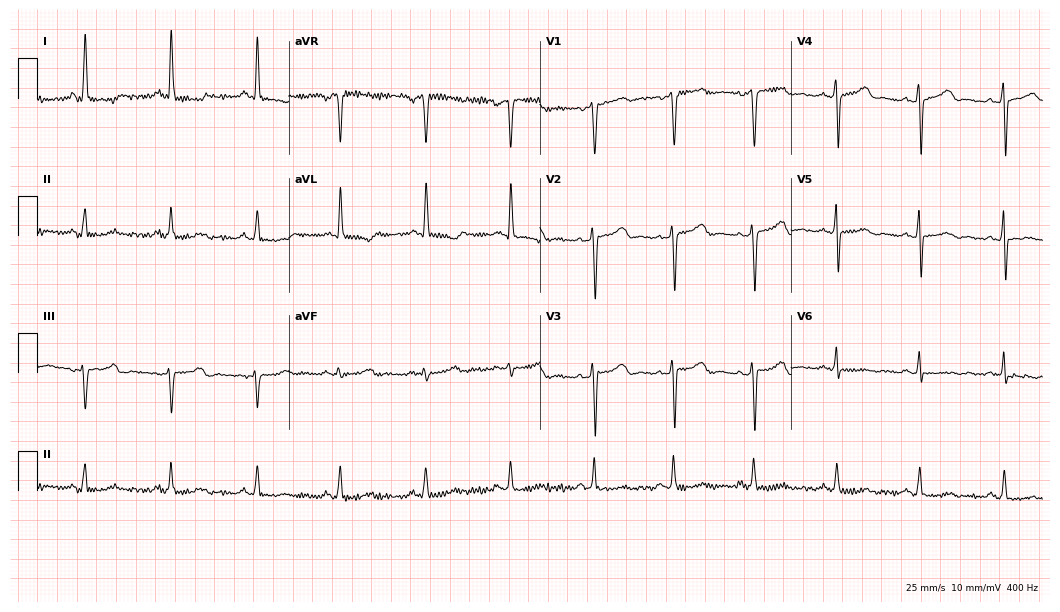
Standard 12-lead ECG recorded from a 56-year-old female (10.2-second recording at 400 Hz). None of these six findings is recorded: first-degree AV block, right bundle branch block (RBBB), left bundle branch block (LBBB), sinus bradycardia, atrial fibrillation (AF), sinus tachycardia.